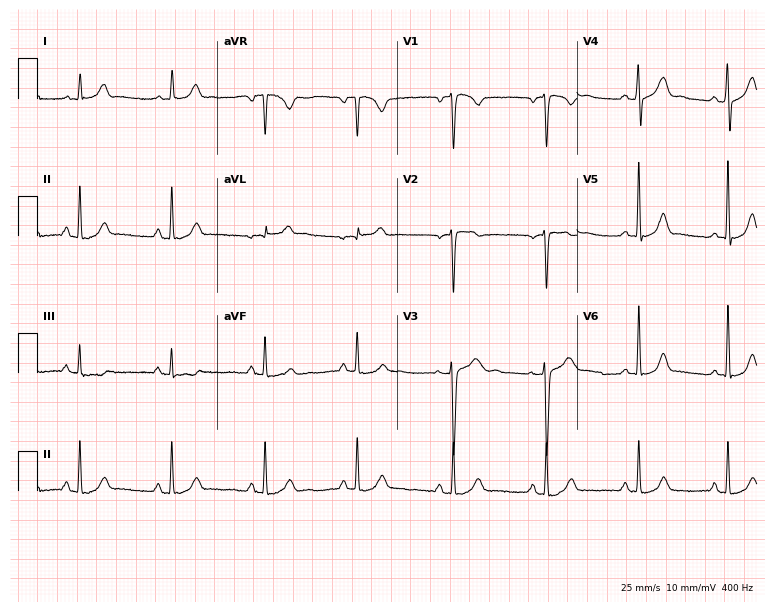
ECG — a 36-year-old female. Labelled as a normal ECG.